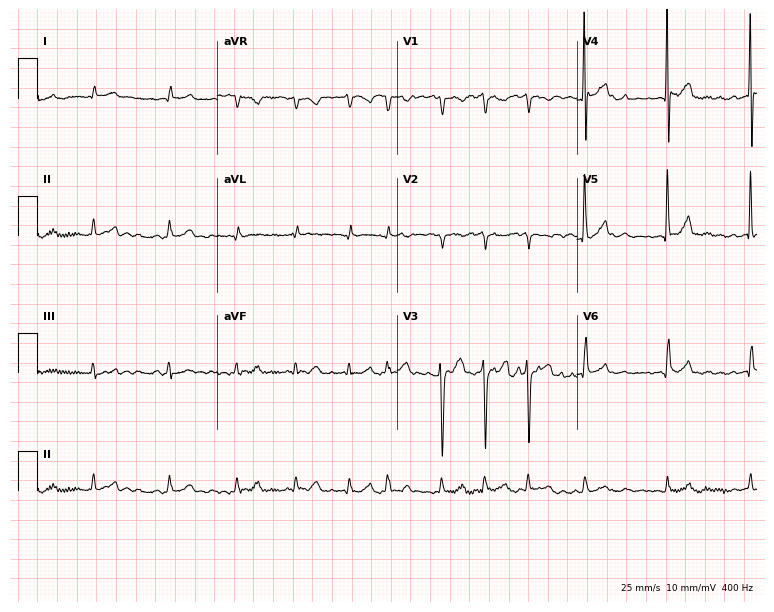
Electrocardiogram, a male patient, 75 years old. Interpretation includes atrial fibrillation (AF).